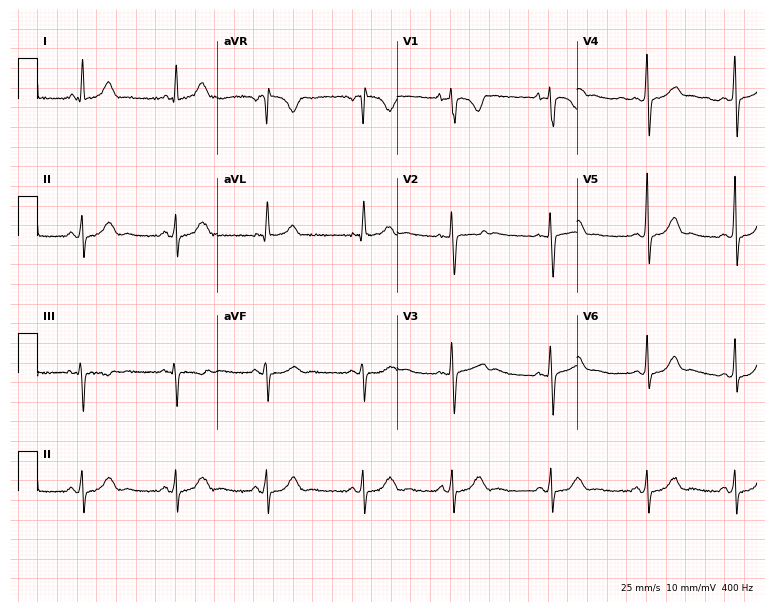
12-lead ECG from a 31-year-old female patient. No first-degree AV block, right bundle branch block (RBBB), left bundle branch block (LBBB), sinus bradycardia, atrial fibrillation (AF) or sinus tachycardia recorded for this tracing. Only these six findings were labelled.